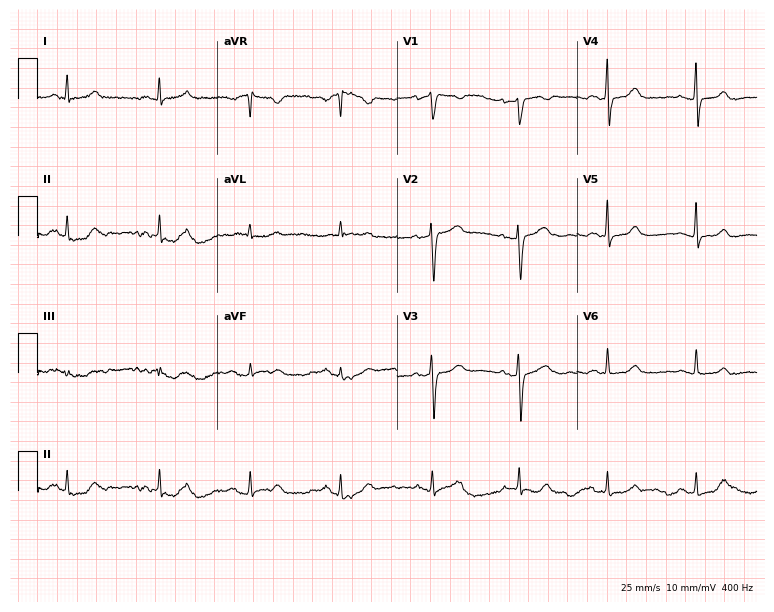
Resting 12-lead electrocardiogram. Patient: a 53-year-old female. Read as a normal ECG.